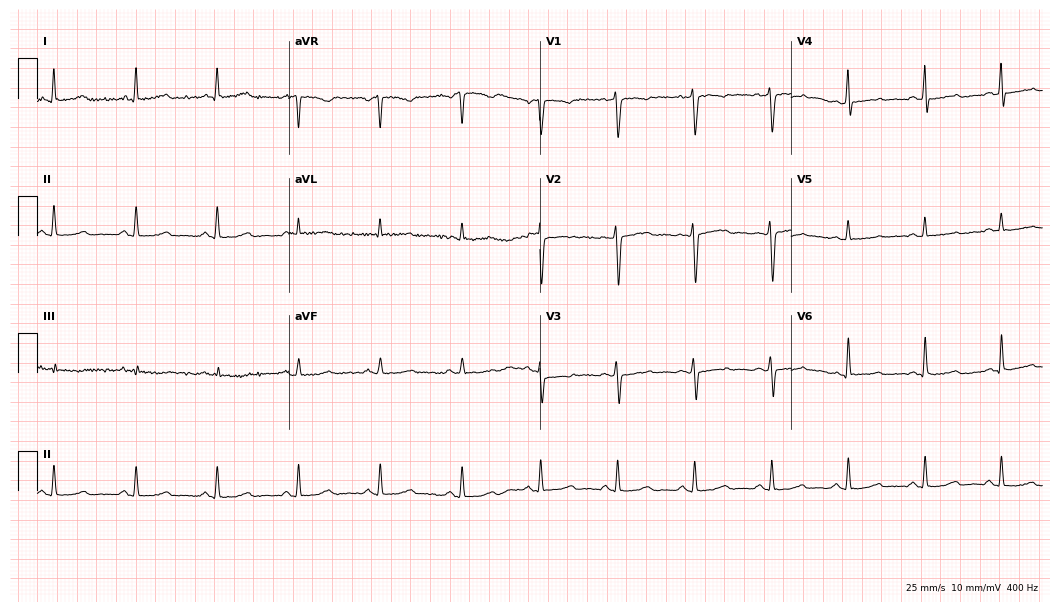
Electrocardiogram, a female, 48 years old. Of the six screened findings (first-degree AV block, right bundle branch block (RBBB), left bundle branch block (LBBB), sinus bradycardia, atrial fibrillation (AF), sinus tachycardia), none is recorded. Other findings, if any, are not listed.